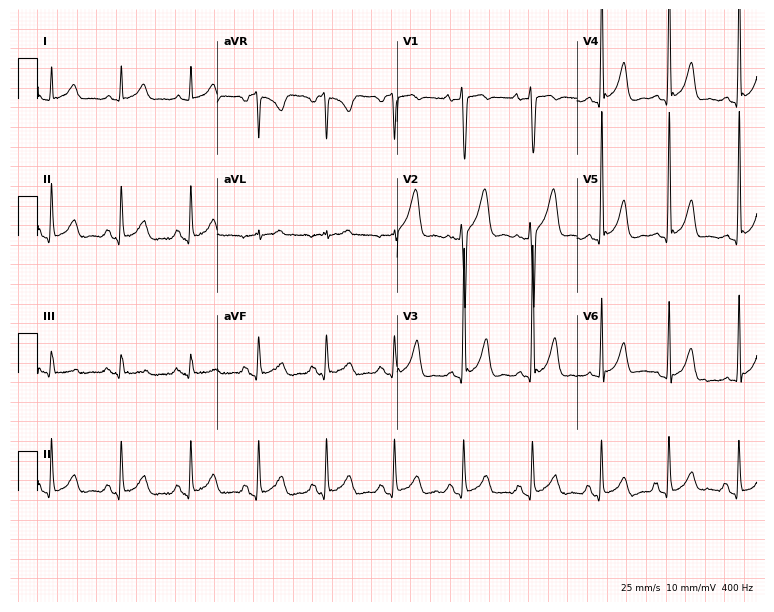
Standard 12-lead ECG recorded from a 32-year-old man. None of these six findings is recorded: first-degree AV block, right bundle branch block, left bundle branch block, sinus bradycardia, atrial fibrillation, sinus tachycardia. Findings outside these six are not listed.